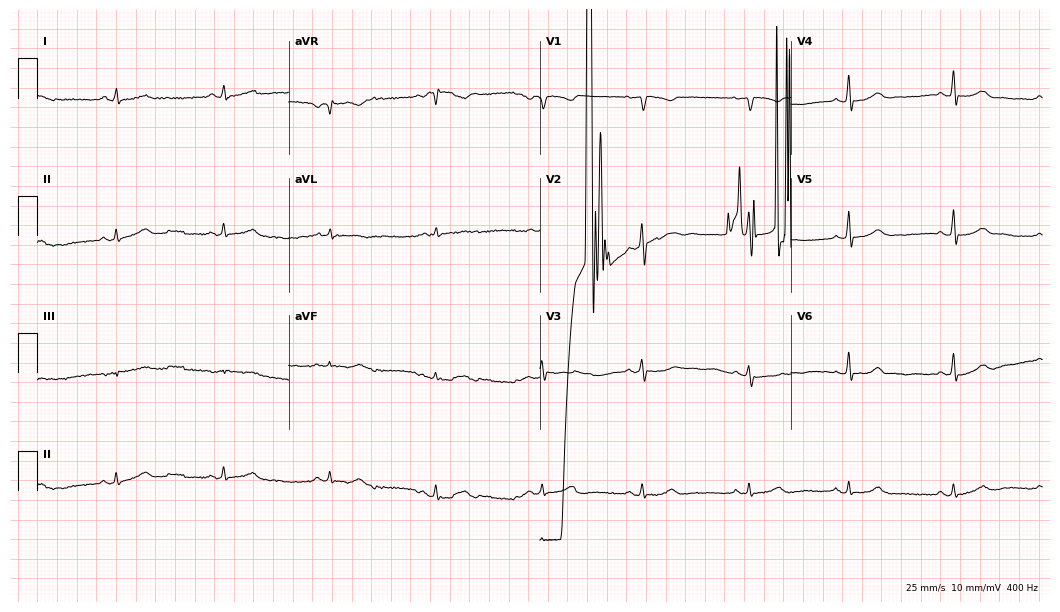
12-lead ECG (10.2-second recording at 400 Hz) from a 28-year-old woman. Labelled as a normal ECG.